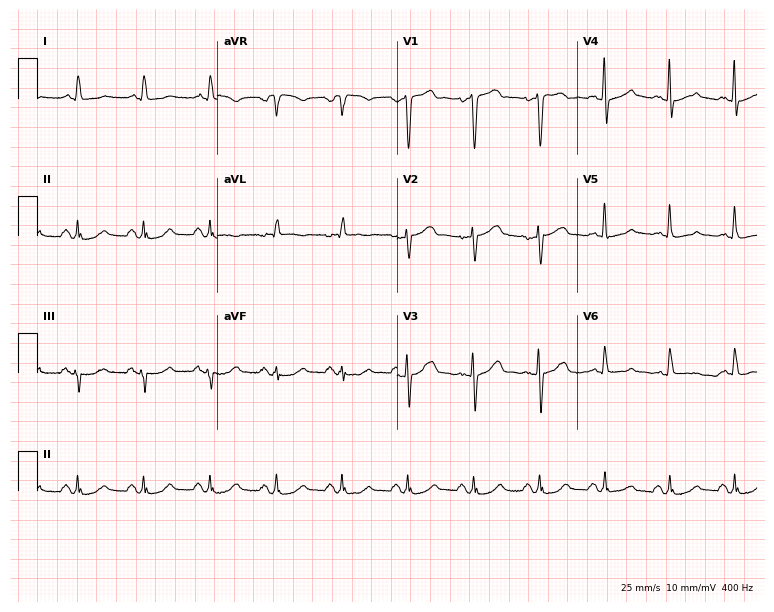
Resting 12-lead electrocardiogram (7.3-second recording at 400 Hz). Patient: a male, 75 years old. None of these six findings is recorded: first-degree AV block, right bundle branch block, left bundle branch block, sinus bradycardia, atrial fibrillation, sinus tachycardia. Only these six findings were labelled.